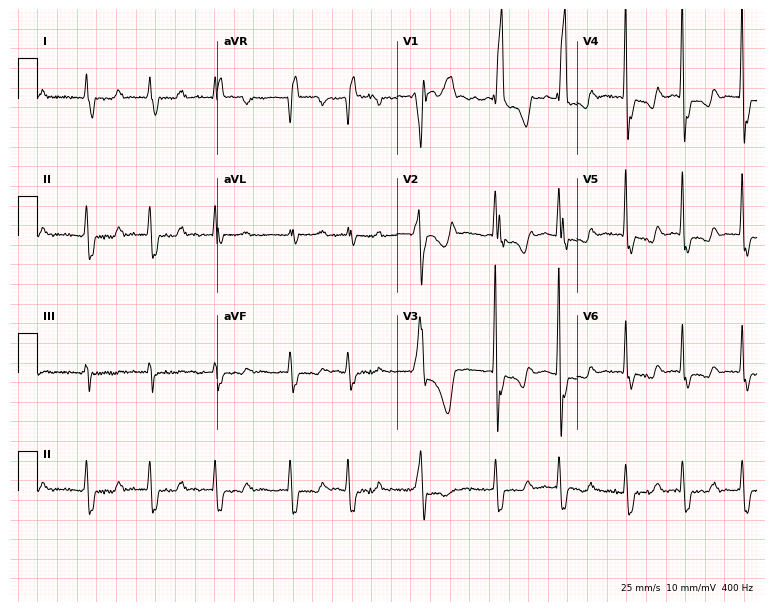
12-lead ECG from a 76-year-old woman (7.3-second recording at 400 Hz). Shows first-degree AV block, right bundle branch block.